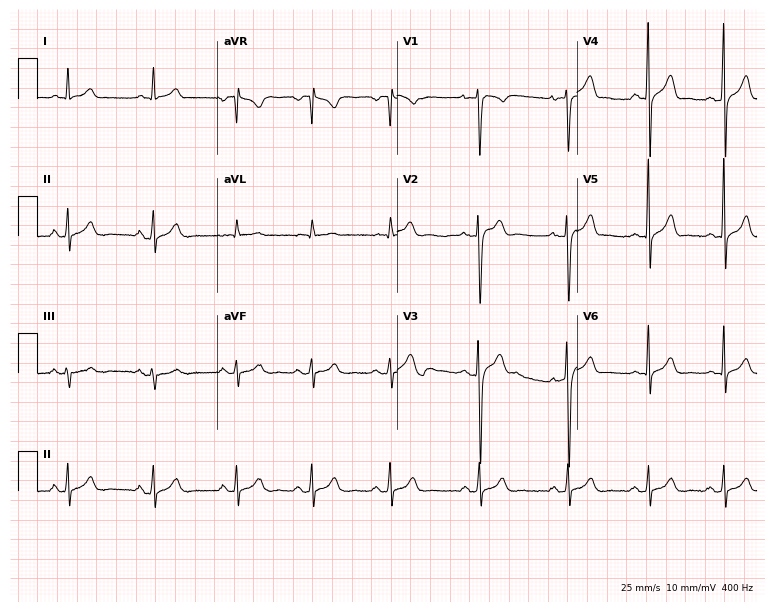
ECG — a 19-year-old male. Labelled as a normal ECG.